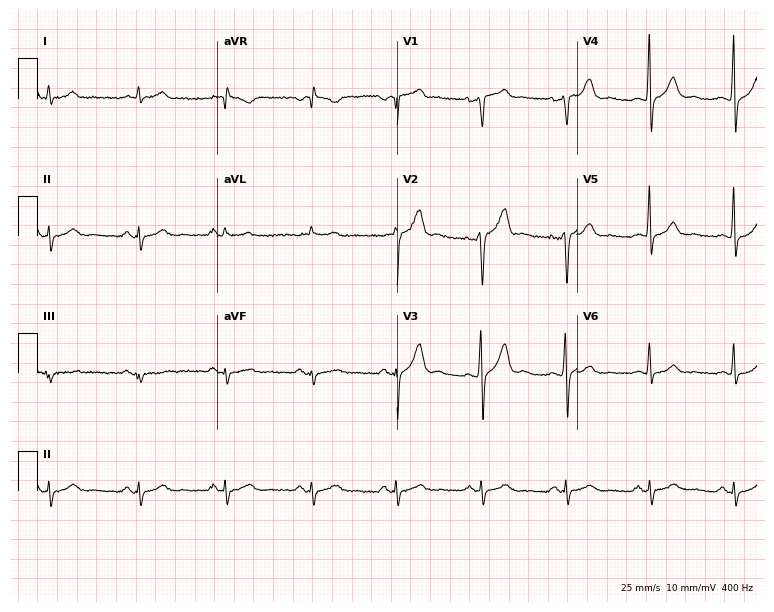
Resting 12-lead electrocardiogram. Patient: a male, 55 years old. None of these six findings is recorded: first-degree AV block, right bundle branch block, left bundle branch block, sinus bradycardia, atrial fibrillation, sinus tachycardia.